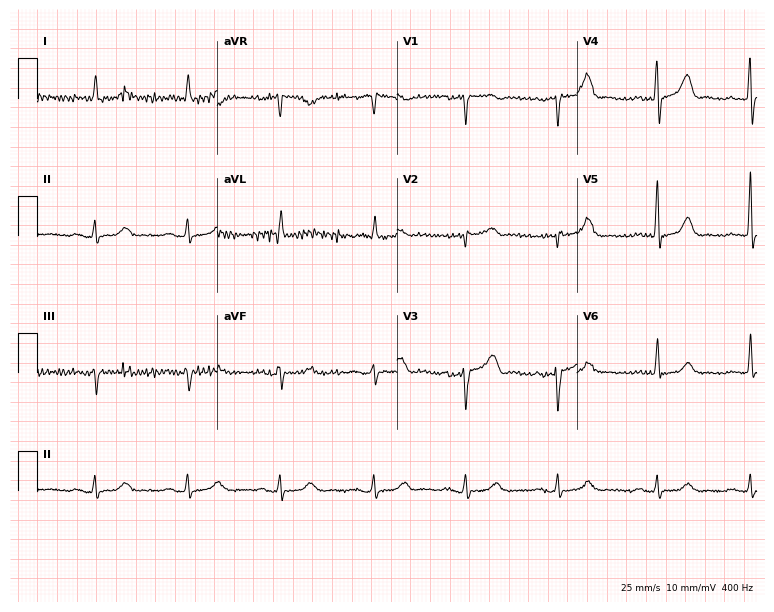
ECG (7.3-second recording at 400 Hz) — a female, 80 years old. Labelled as a normal ECG.